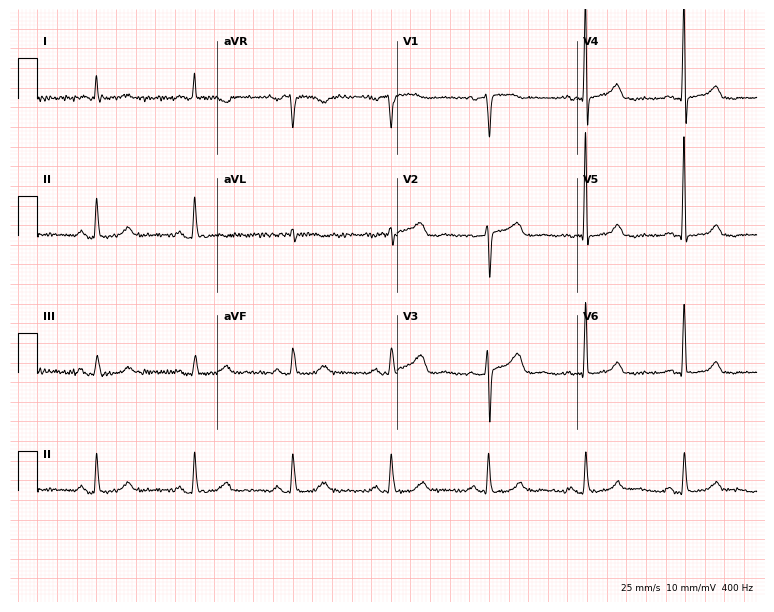
12-lead ECG from a female patient, 77 years old (7.3-second recording at 400 Hz). Recorded interpretation: within normal limits.